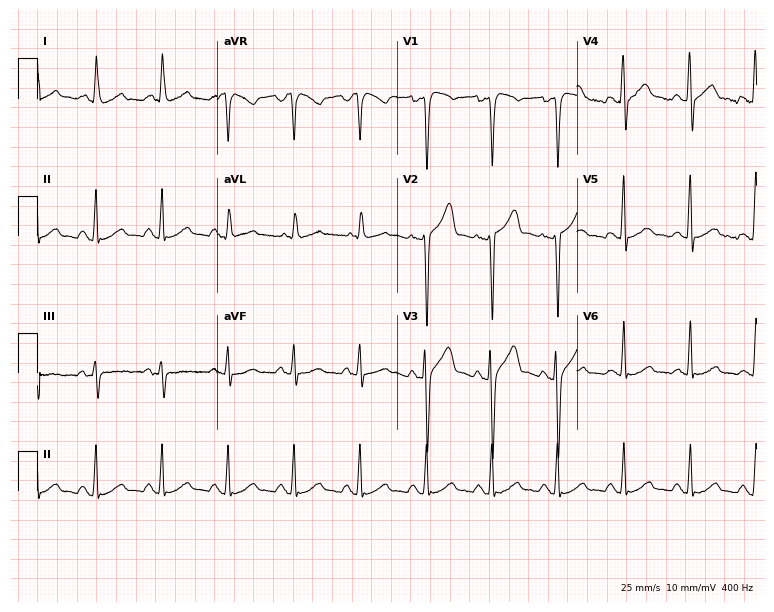
Resting 12-lead electrocardiogram (7.3-second recording at 400 Hz). Patient: a male, 41 years old. None of these six findings is recorded: first-degree AV block, right bundle branch block, left bundle branch block, sinus bradycardia, atrial fibrillation, sinus tachycardia. Findings outside these six are not listed.